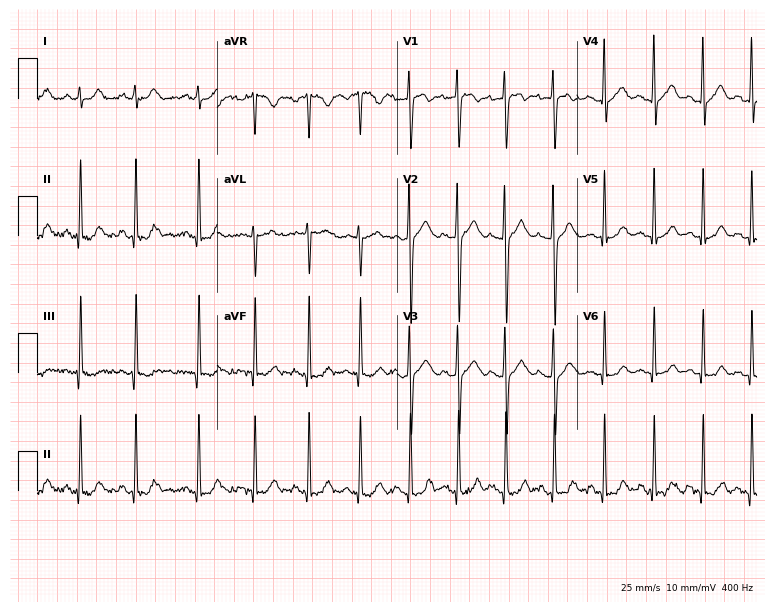
12-lead ECG (7.3-second recording at 400 Hz) from a female patient, 29 years old. Screened for six findings — first-degree AV block, right bundle branch block, left bundle branch block, sinus bradycardia, atrial fibrillation, sinus tachycardia — none is recorded.